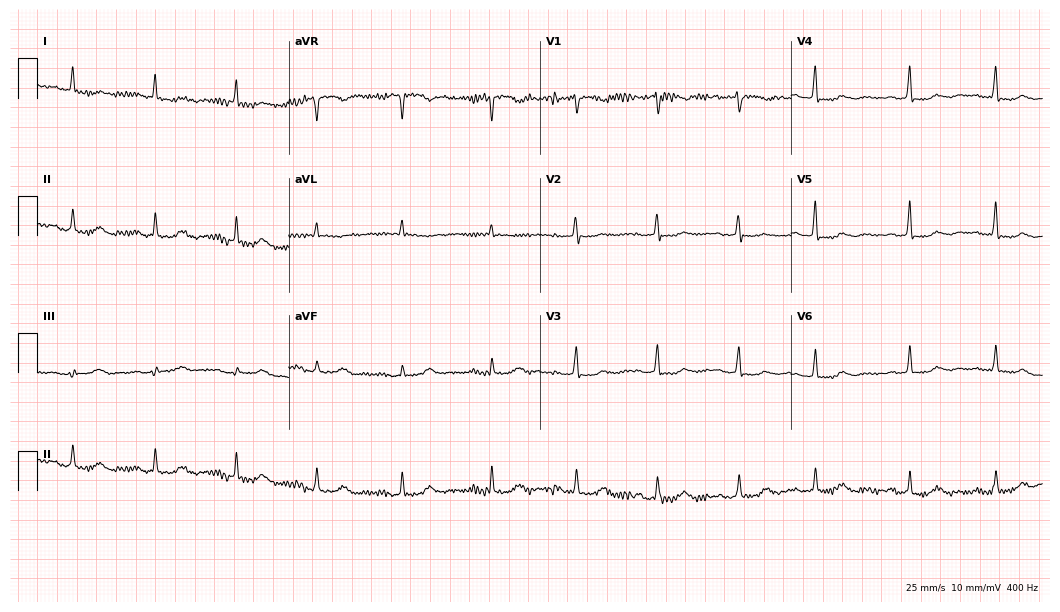
12-lead ECG from a 75-year-old female patient. No first-degree AV block, right bundle branch block, left bundle branch block, sinus bradycardia, atrial fibrillation or sinus tachycardia recorded for this tracing. Findings outside these six are not listed.